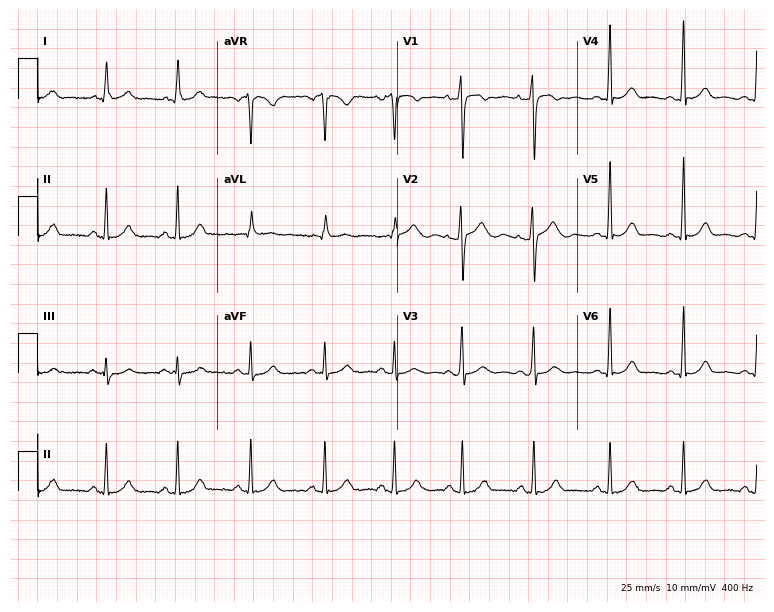
12-lead ECG from a 28-year-old woman. Labelled as a normal ECG.